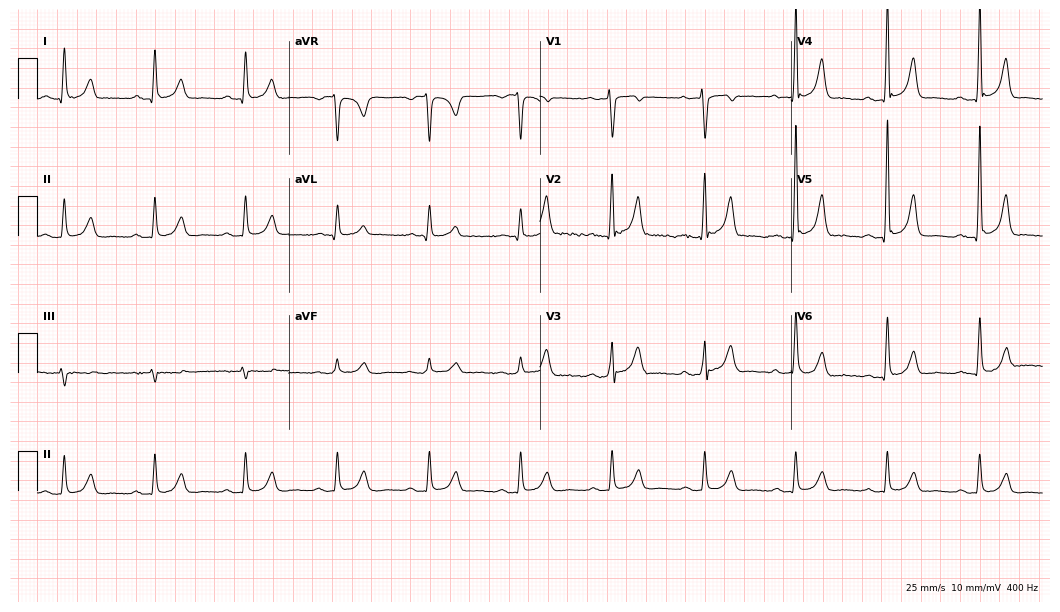
12-lead ECG (10.2-second recording at 400 Hz) from a man, 62 years old. Labelled as a normal ECG.